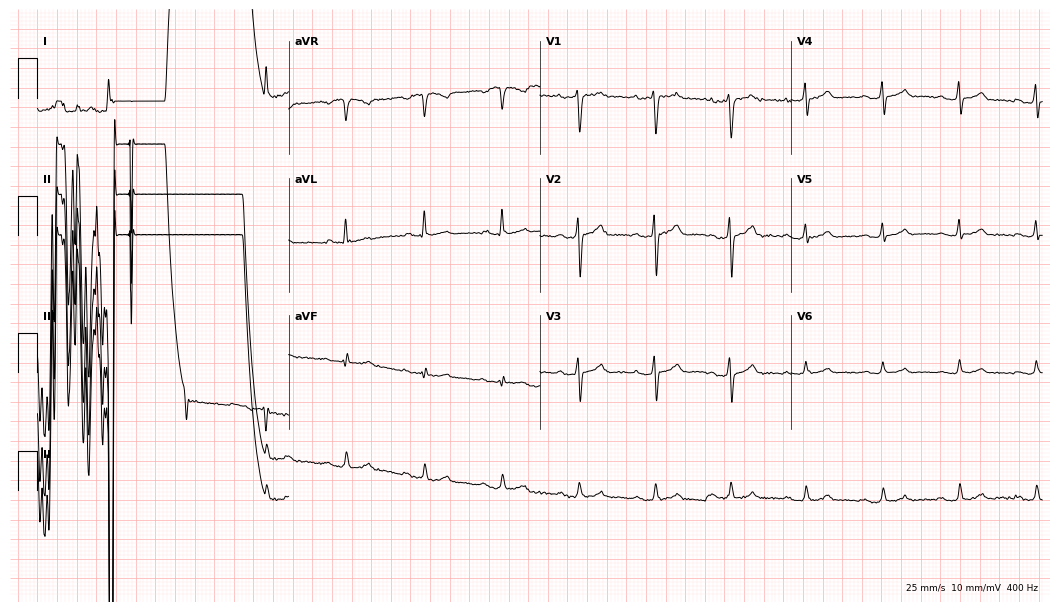
Standard 12-lead ECG recorded from a 55-year-old male (10.2-second recording at 400 Hz). None of these six findings is recorded: first-degree AV block, right bundle branch block, left bundle branch block, sinus bradycardia, atrial fibrillation, sinus tachycardia. Findings outside these six are not listed.